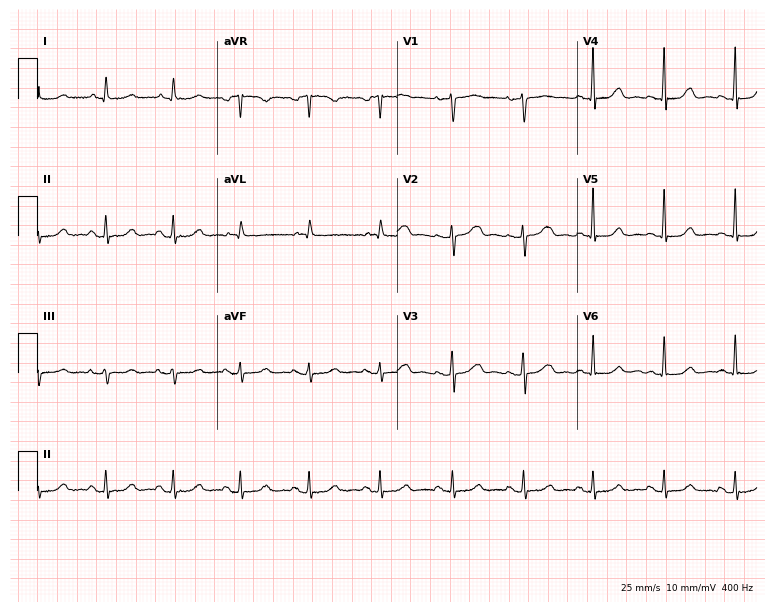
Standard 12-lead ECG recorded from a 51-year-old woman. Read as a normal ECG.